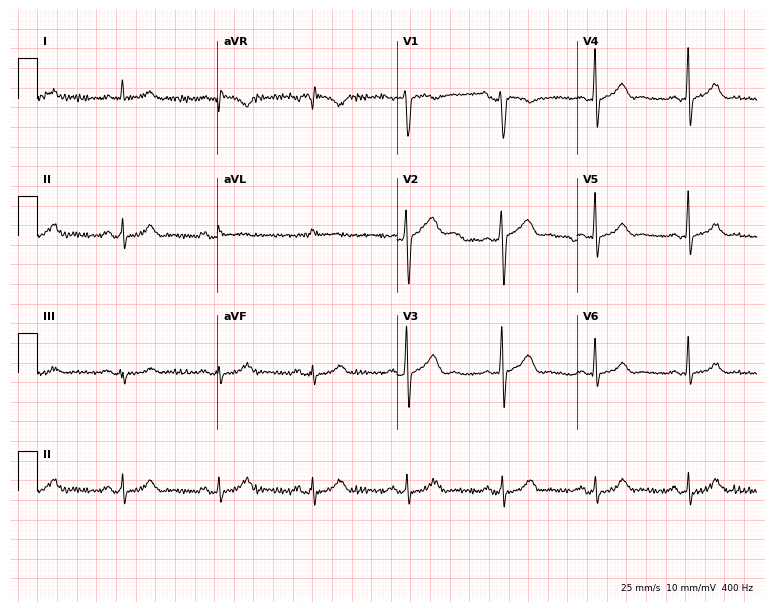
12-lead ECG from a man, 22 years old. Labelled as a normal ECG.